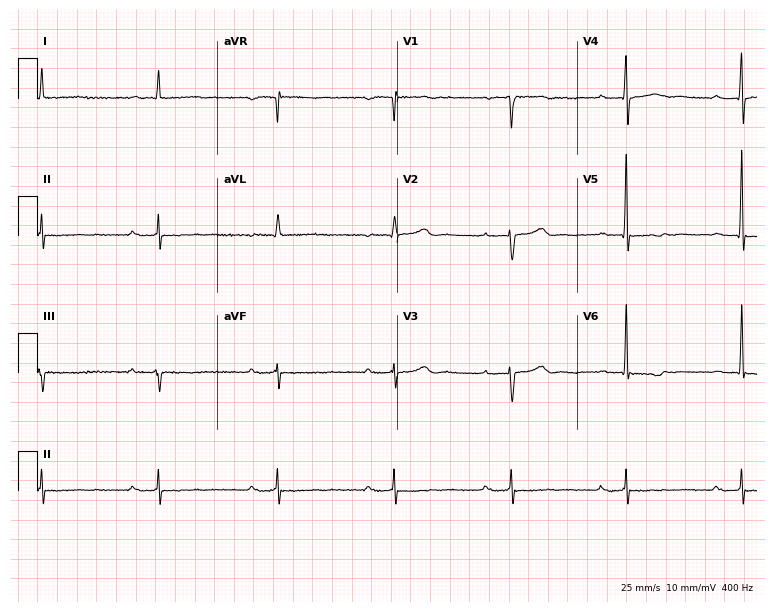
ECG — an 85-year-old man. Findings include first-degree AV block.